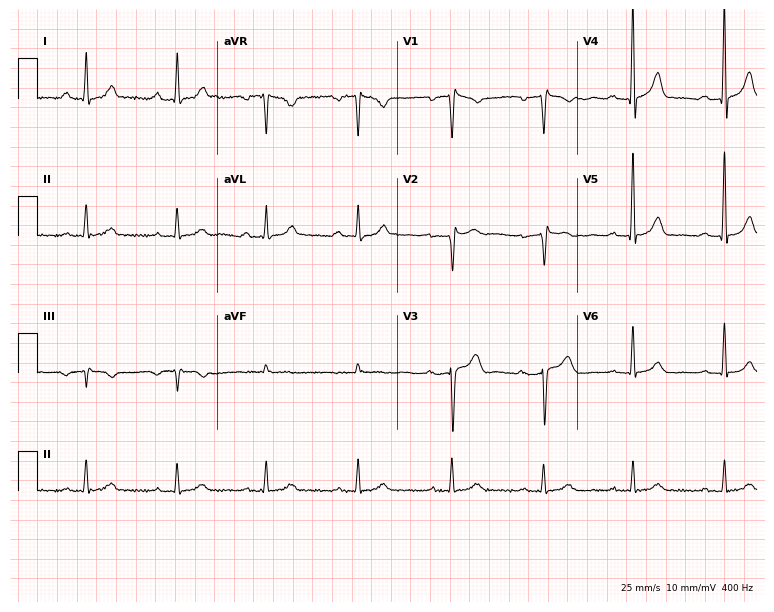
Resting 12-lead electrocardiogram (7.3-second recording at 400 Hz). Patient: a 69-year-old man. Read as a normal ECG.